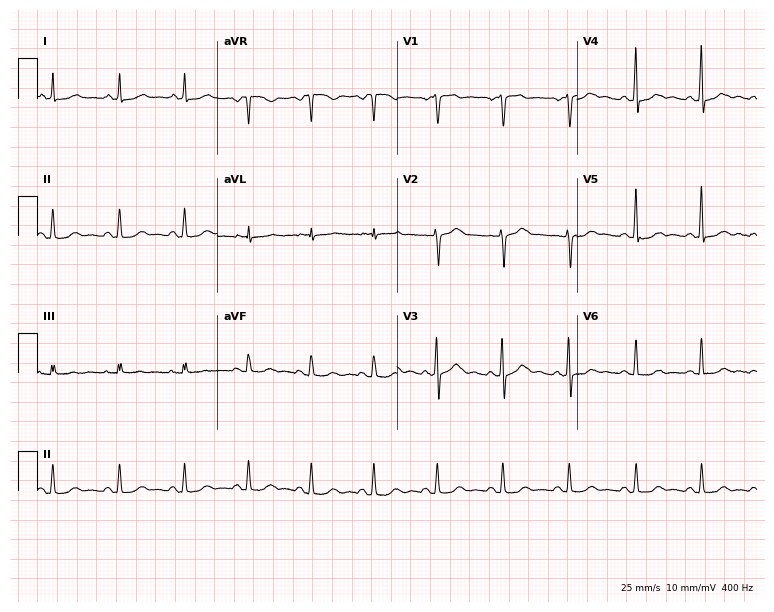
Resting 12-lead electrocardiogram. Patient: a 50-year-old female. Read as a normal ECG.